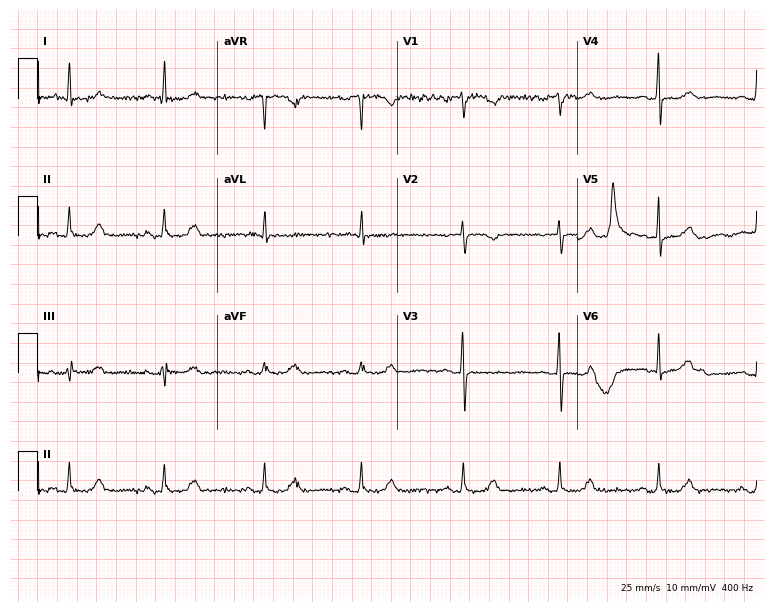
Standard 12-lead ECG recorded from a female, 64 years old. None of these six findings is recorded: first-degree AV block, right bundle branch block, left bundle branch block, sinus bradycardia, atrial fibrillation, sinus tachycardia.